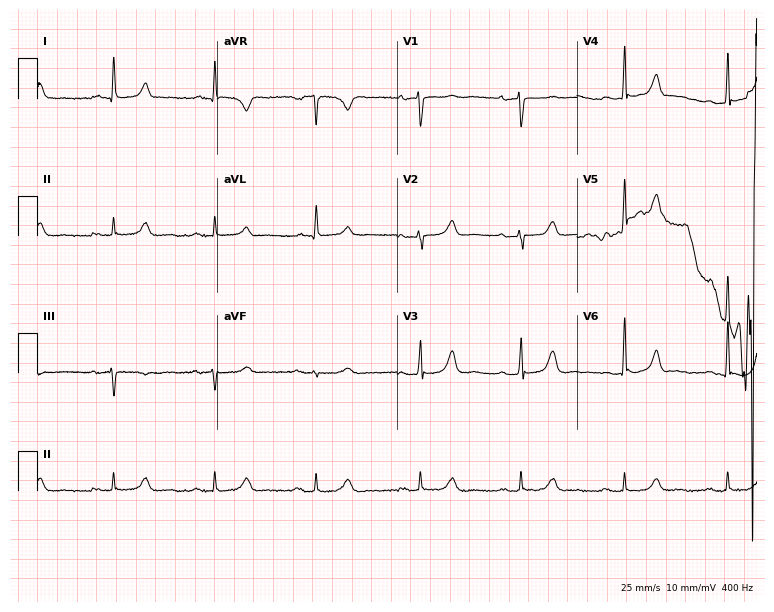
Resting 12-lead electrocardiogram. Patient: a 78-year-old woman. None of these six findings is recorded: first-degree AV block, right bundle branch block, left bundle branch block, sinus bradycardia, atrial fibrillation, sinus tachycardia. Findings outside these six are not listed.